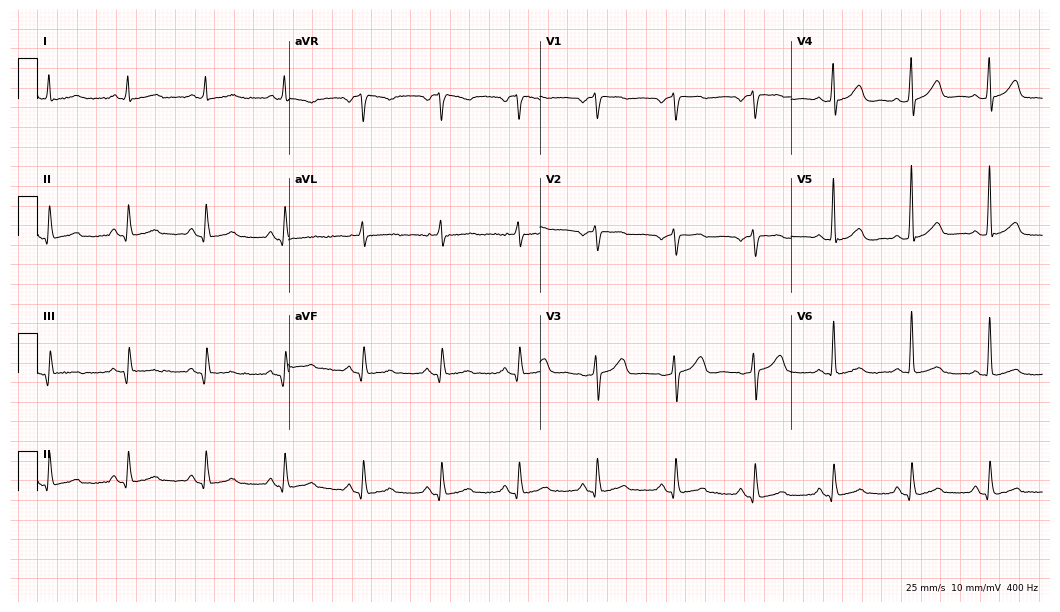
12-lead ECG (10.2-second recording at 400 Hz) from a 66-year-old female patient. Labelled as a normal ECG.